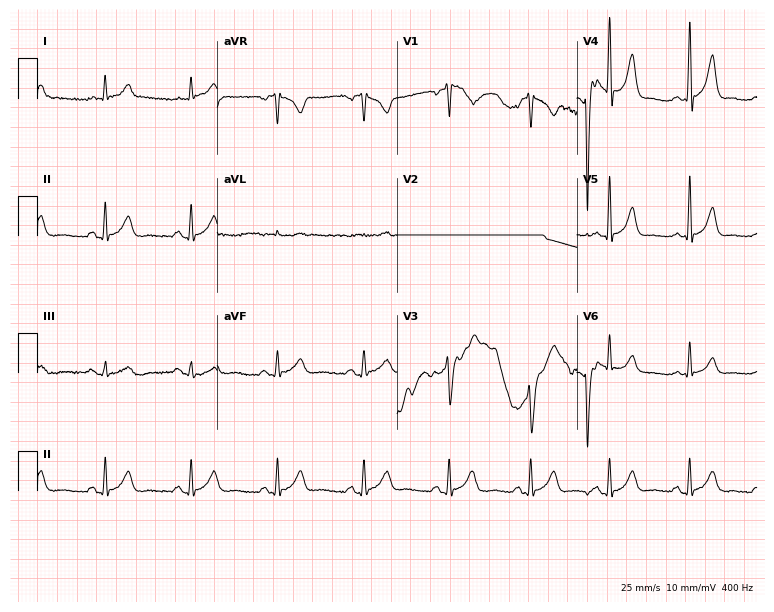
Standard 12-lead ECG recorded from a 47-year-old male patient (7.3-second recording at 400 Hz). None of these six findings is recorded: first-degree AV block, right bundle branch block (RBBB), left bundle branch block (LBBB), sinus bradycardia, atrial fibrillation (AF), sinus tachycardia. Findings outside these six are not listed.